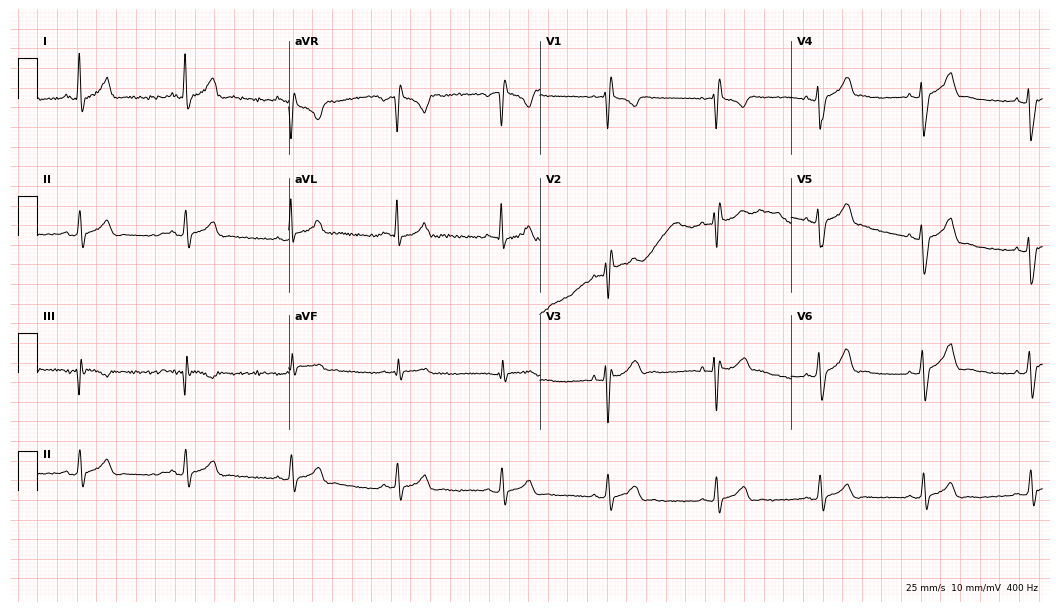
Standard 12-lead ECG recorded from a male patient, 29 years old. The tracing shows right bundle branch block (RBBB).